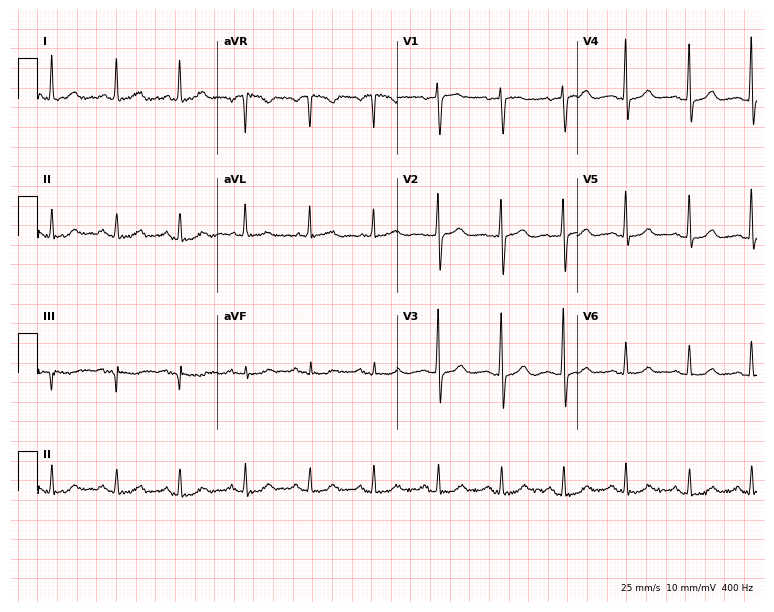
12-lead ECG from a woman, 71 years old (7.3-second recording at 400 Hz). No first-degree AV block, right bundle branch block, left bundle branch block, sinus bradycardia, atrial fibrillation or sinus tachycardia recorded for this tracing.